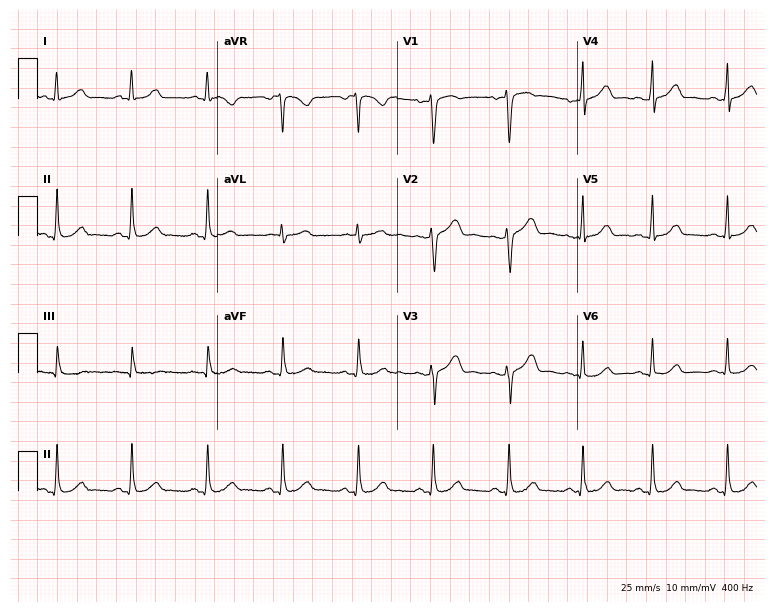
ECG (7.3-second recording at 400 Hz) — a female patient, 21 years old. Labelled as a normal ECG.